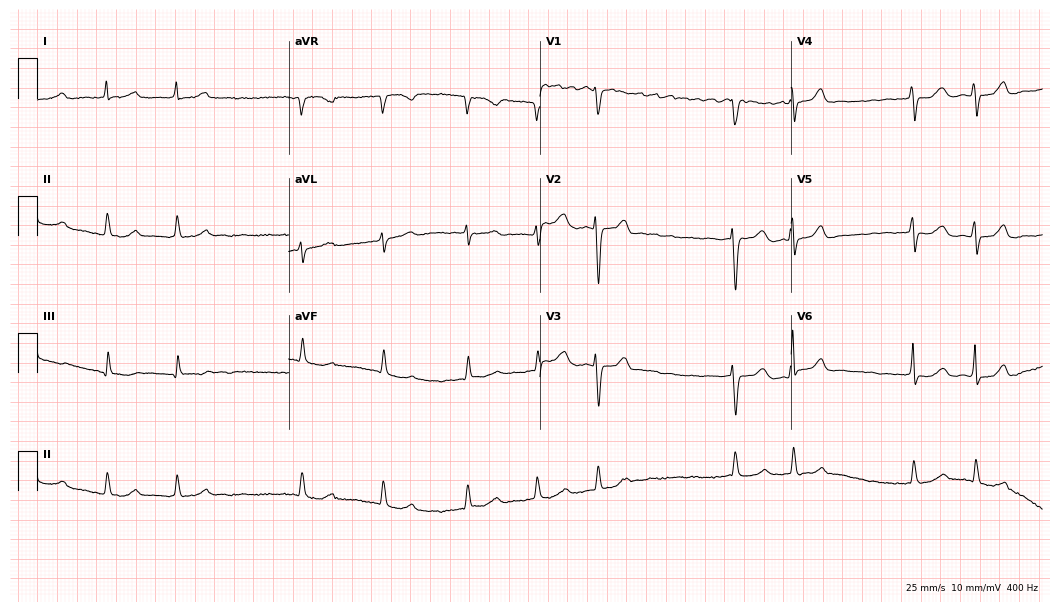
Electrocardiogram, a female, 85 years old. Interpretation includes atrial fibrillation.